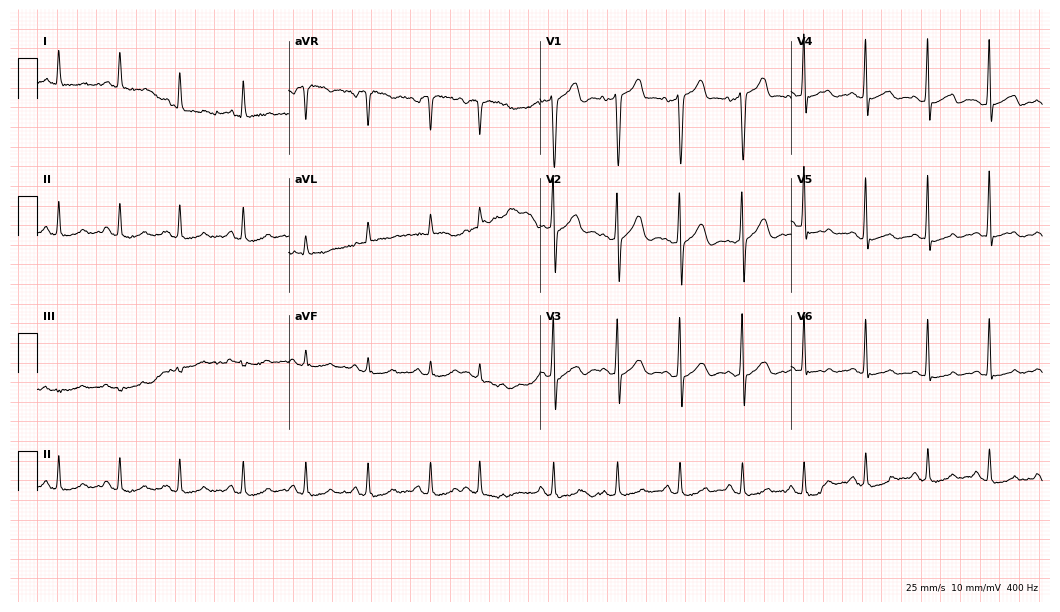
12-lead ECG from a male, 85 years old. Screened for six findings — first-degree AV block, right bundle branch block, left bundle branch block, sinus bradycardia, atrial fibrillation, sinus tachycardia — none is recorded. Other findings, if any, are not listed.